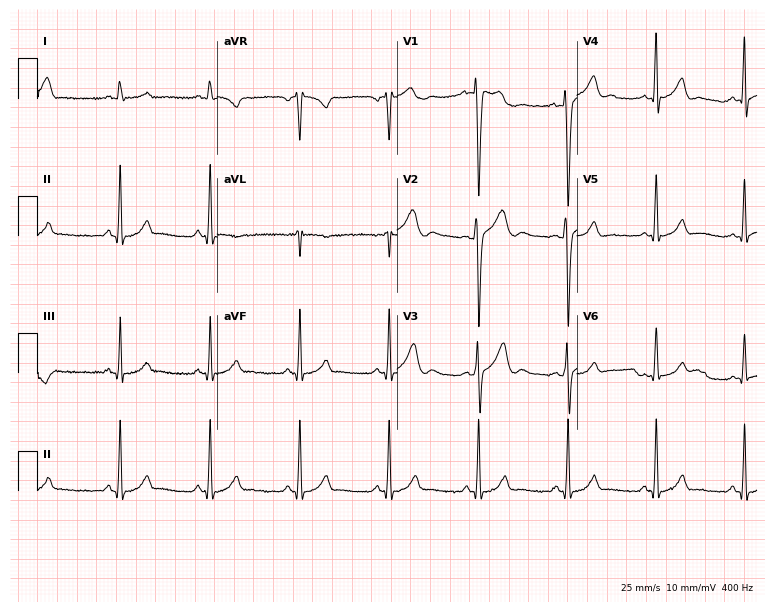
ECG (7.3-second recording at 400 Hz) — a 22-year-old male patient. Screened for six findings — first-degree AV block, right bundle branch block (RBBB), left bundle branch block (LBBB), sinus bradycardia, atrial fibrillation (AF), sinus tachycardia — none is recorded.